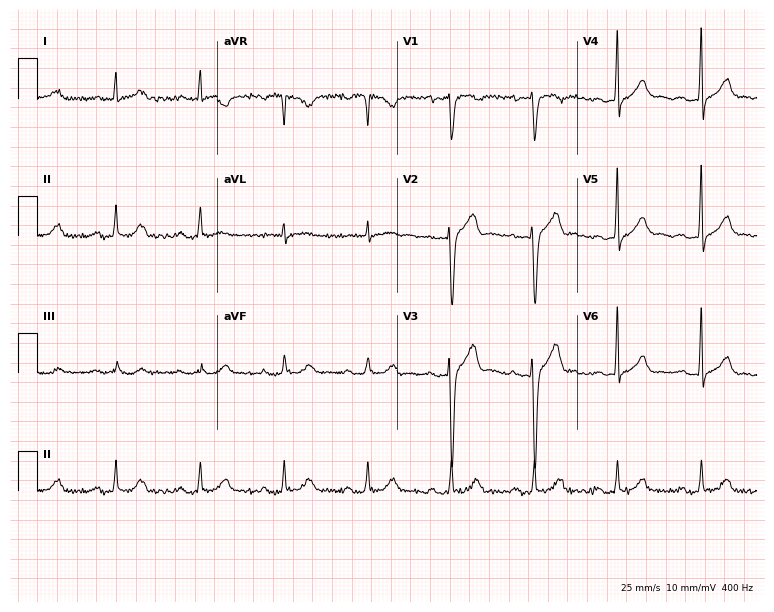
ECG — a 43-year-old male. Labelled as a normal ECG.